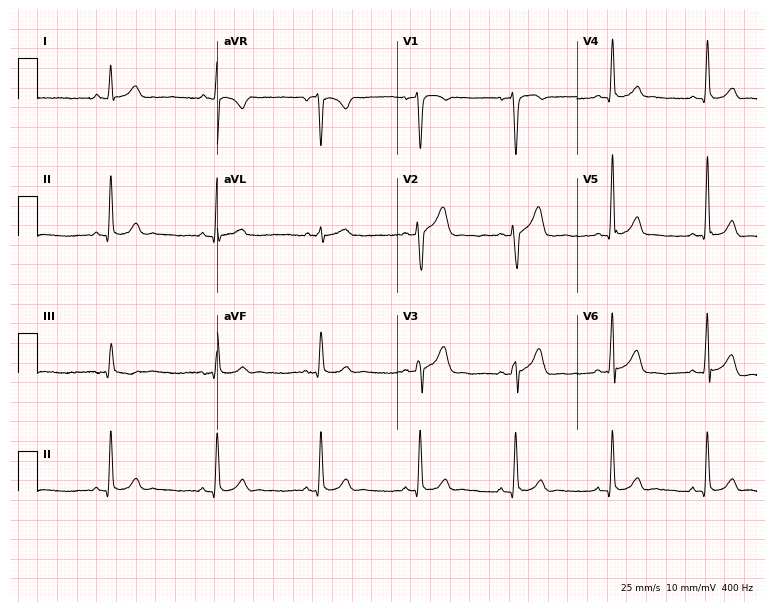
Standard 12-lead ECG recorded from a male, 31 years old. None of these six findings is recorded: first-degree AV block, right bundle branch block, left bundle branch block, sinus bradycardia, atrial fibrillation, sinus tachycardia. Only these six findings were labelled.